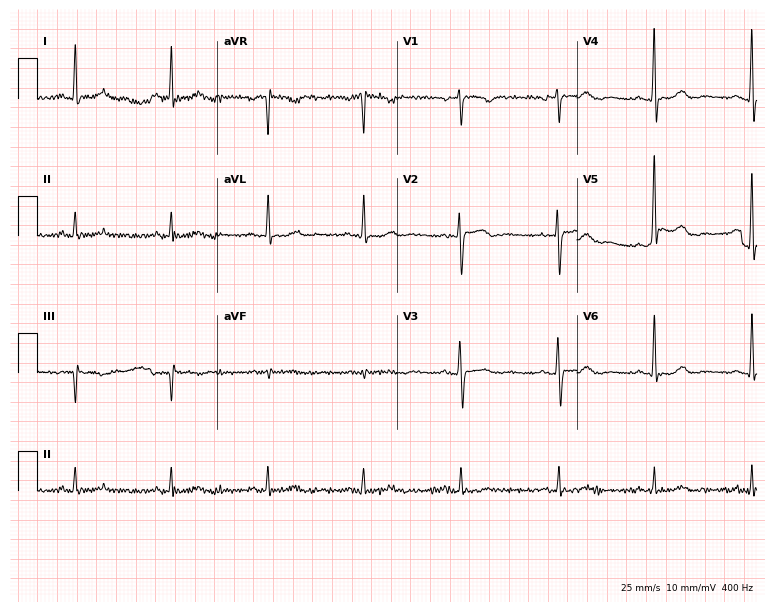
Electrocardiogram (7.3-second recording at 400 Hz), a 60-year-old woman. Of the six screened findings (first-degree AV block, right bundle branch block, left bundle branch block, sinus bradycardia, atrial fibrillation, sinus tachycardia), none is recorded. Findings outside these six are not listed.